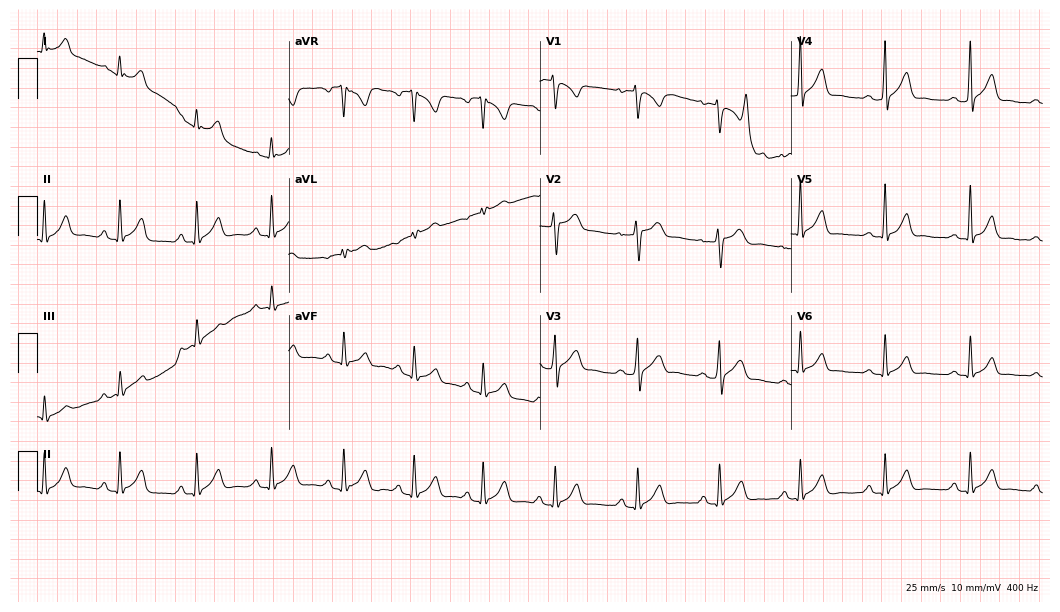
12-lead ECG from a 24-year-old male. Recorded interpretation: within normal limits.